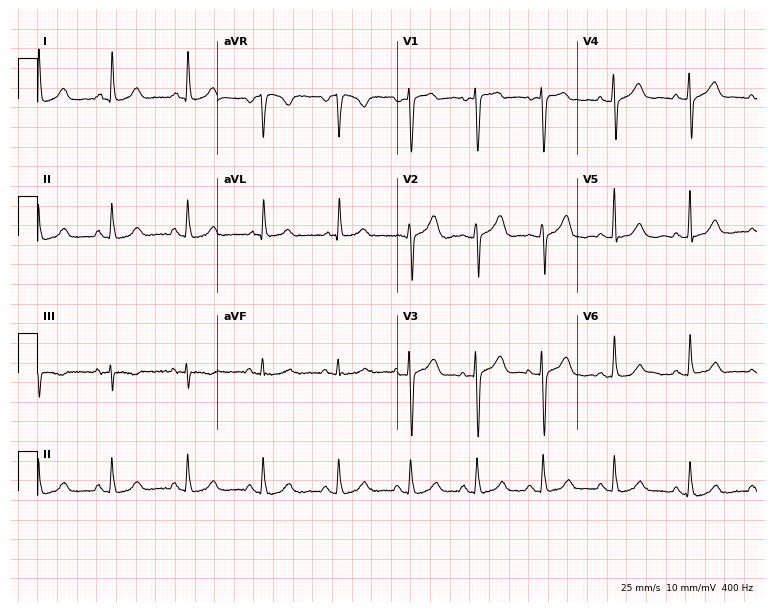
12-lead ECG (7.3-second recording at 400 Hz) from a woman, 57 years old. Labelled as a normal ECG.